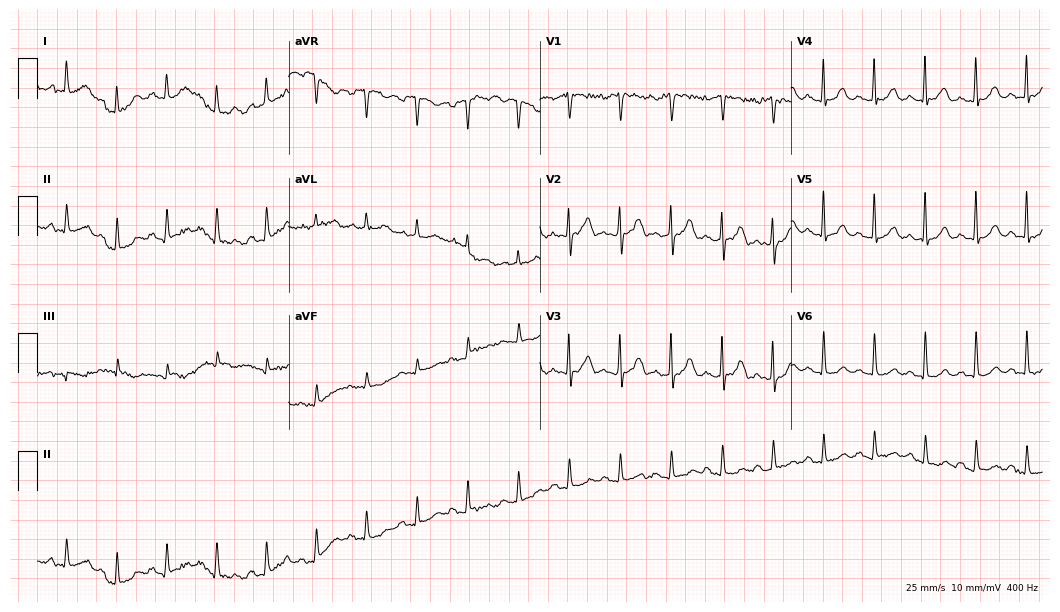
ECG — a female, 83 years old. Findings include sinus tachycardia (a sinus rate of 100 beats per minute or more).